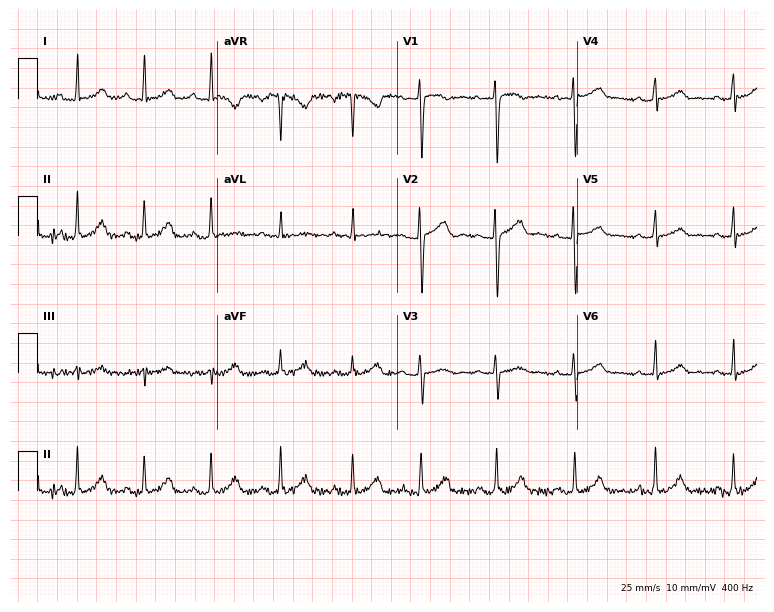
ECG (7.3-second recording at 400 Hz) — a female, 27 years old. Screened for six findings — first-degree AV block, right bundle branch block (RBBB), left bundle branch block (LBBB), sinus bradycardia, atrial fibrillation (AF), sinus tachycardia — none is recorded. Other findings, if any, are not listed.